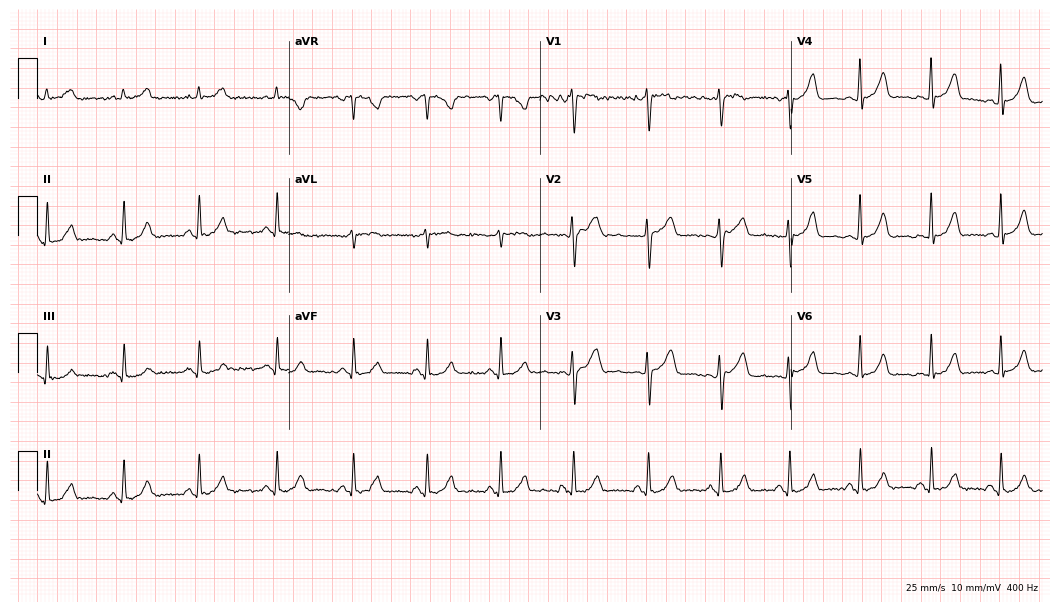
Resting 12-lead electrocardiogram. Patient: a 38-year-old female. Read as a normal ECG.